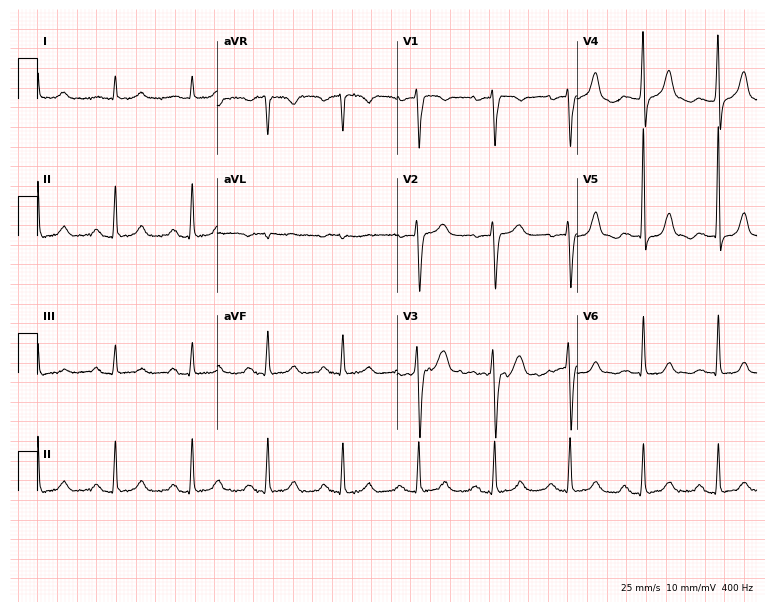
12-lead ECG from a female, 79 years old (7.3-second recording at 400 Hz). Shows first-degree AV block.